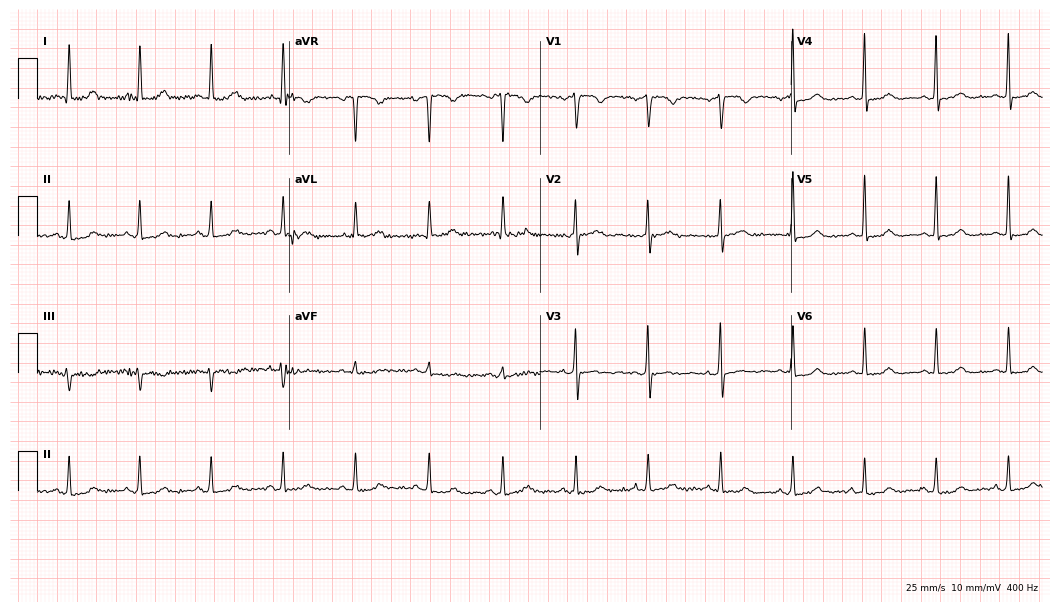
Standard 12-lead ECG recorded from a male, 83 years old. Read as a normal ECG.